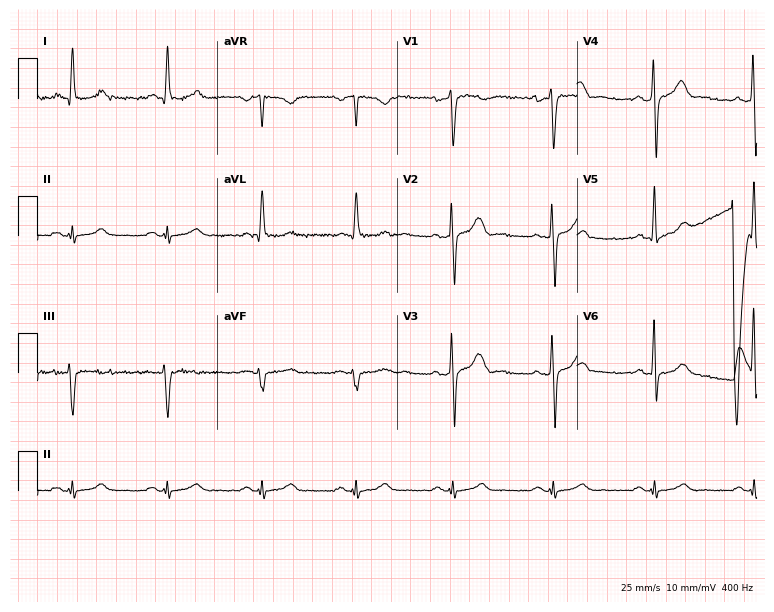
ECG (7.3-second recording at 400 Hz) — a man, 50 years old. Screened for six findings — first-degree AV block, right bundle branch block, left bundle branch block, sinus bradycardia, atrial fibrillation, sinus tachycardia — none is recorded. Other findings, if any, are not listed.